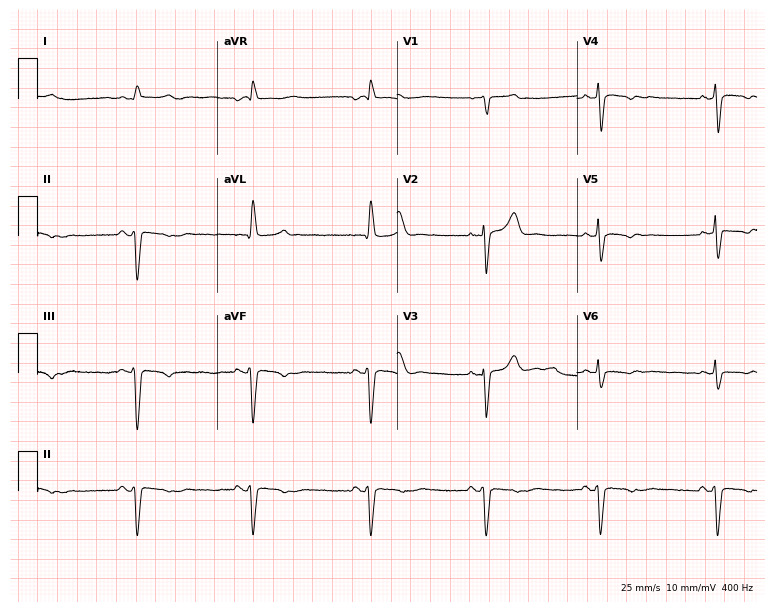
12-lead ECG from a male patient, 43 years old (7.3-second recording at 400 Hz). No first-degree AV block, right bundle branch block (RBBB), left bundle branch block (LBBB), sinus bradycardia, atrial fibrillation (AF) or sinus tachycardia recorded for this tracing.